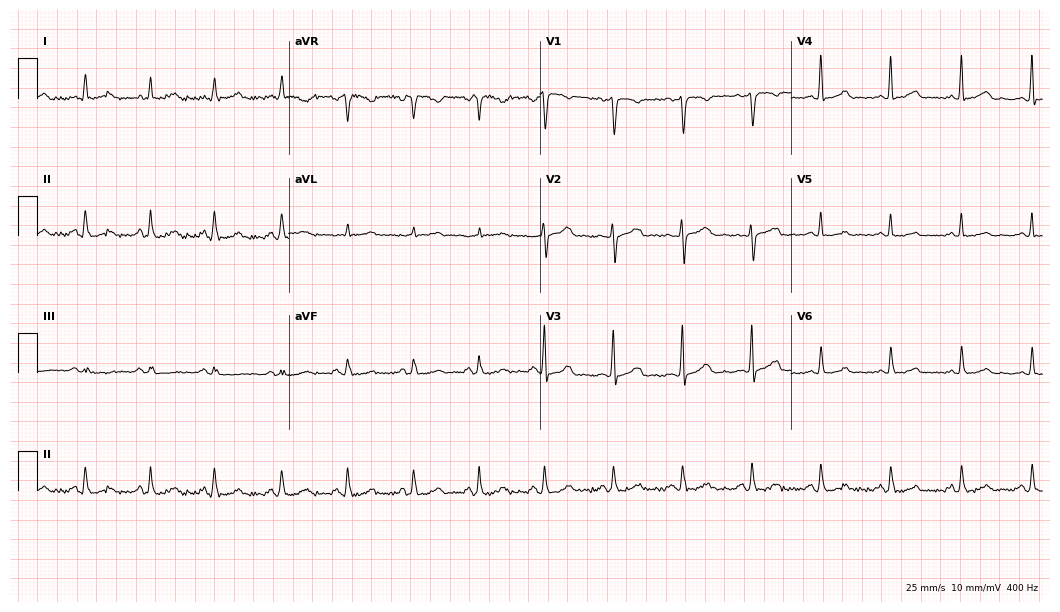
Resting 12-lead electrocardiogram. Patient: a woman, 44 years old. None of these six findings is recorded: first-degree AV block, right bundle branch block, left bundle branch block, sinus bradycardia, atrial fibrillation, sinus tachycardia.